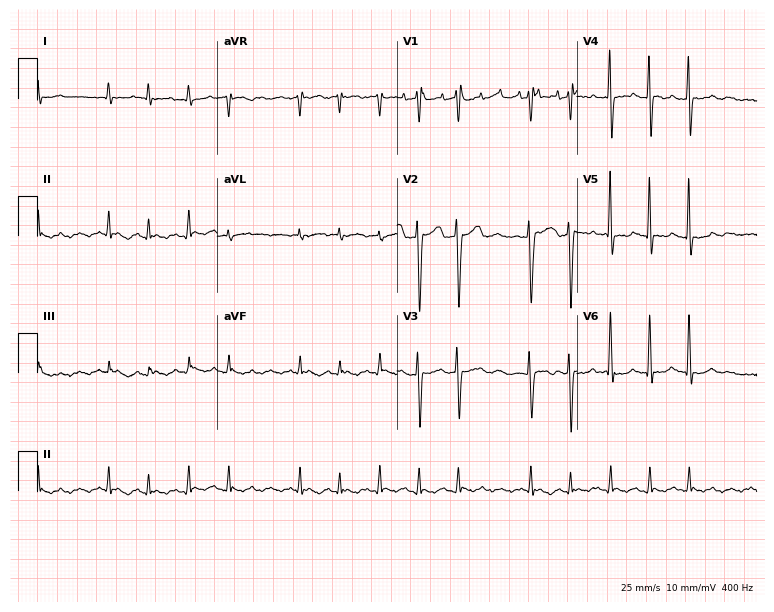
Electrocardiogram, a male, 83 years old. Interpretation includes atrial fibrillation.